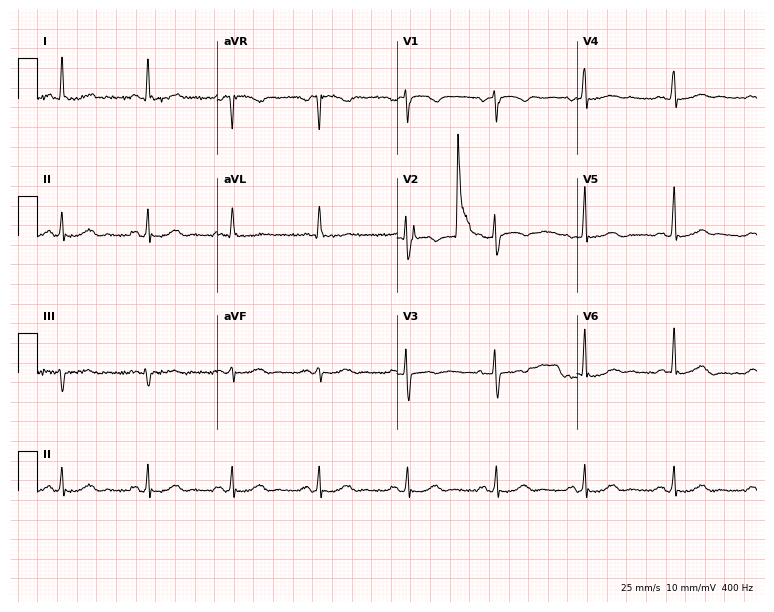
Resting 12-lead electrocardiogram. Patient: a 74-year-old woman. None of these six findings is recorded: first-degree AV block, right bundle branch block (RBBB), left bundle branch block (LBBB), sinus bradycardia, atrial fibrillation (AF), sinus tachycardia.